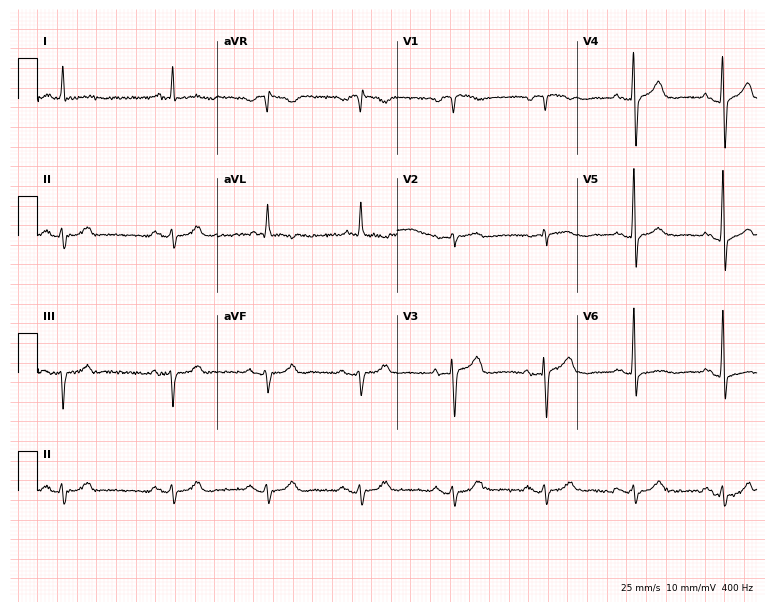
12-lead ECG (7.3-second recording at 400 Hz) from a male patient, 81 years old. Labelled as a normal ECG.